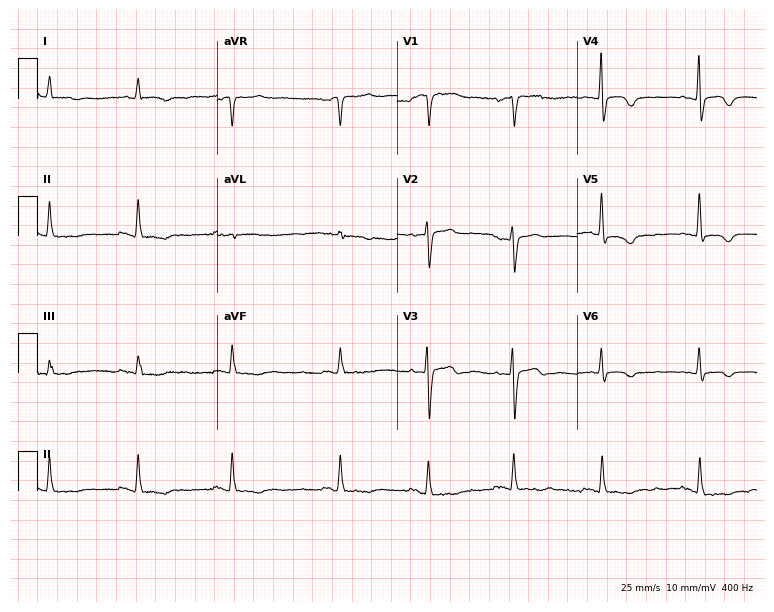
12-lead ECG (7.3-second recording at 400 Hz) from a female patient, 82 years old. Screened for six findings — first-degree AV block, right bundle branch block, left bundle branch block, sinus bradycardia, atrial fibrillation, sinus tachycardia — none is recorded.